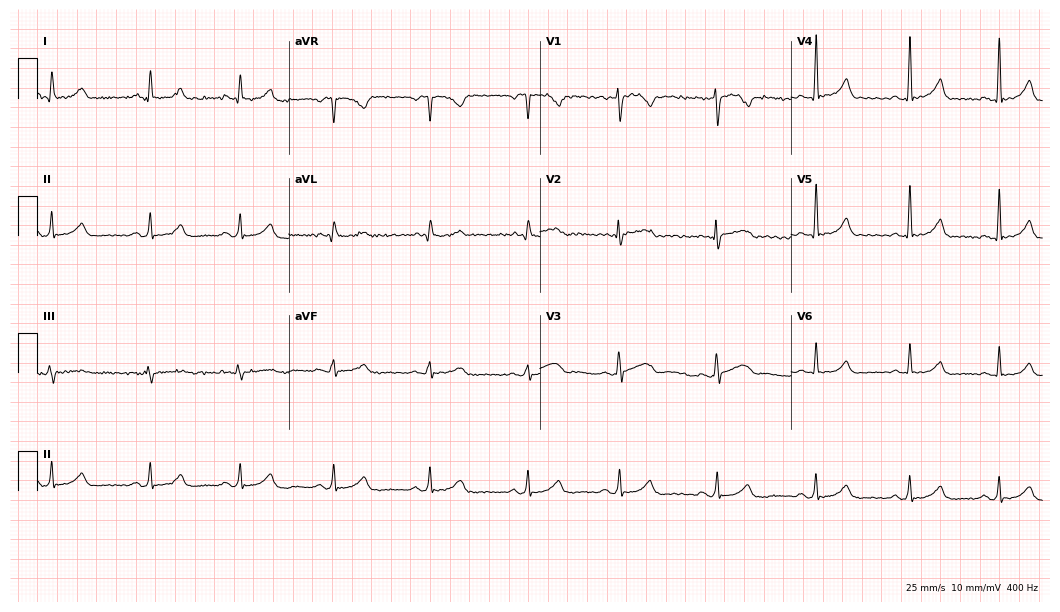
Standard 12-lead ECG recorded from a 43-year-old woman (10.2-second recording at 400 Hz). Read as a normal ECG.